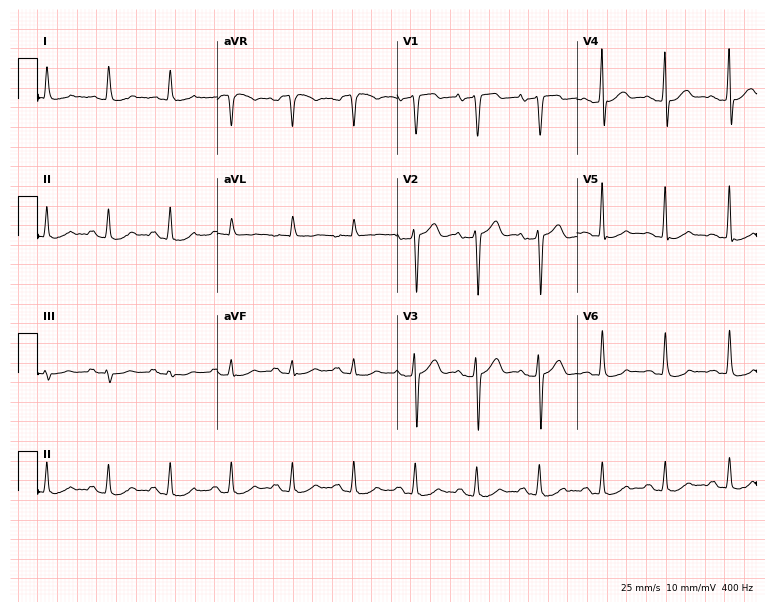
Standard 12-lead ECG recorded from a male, 54 years old. None of these six findings is recorded: first-degree AV block, right bundle branch block (RBBB), left bundle branch block (LBBB), sinus bradycardia, atrial fibrillation (AF), sinus tachycardia. Other findings, if any, are not listed.